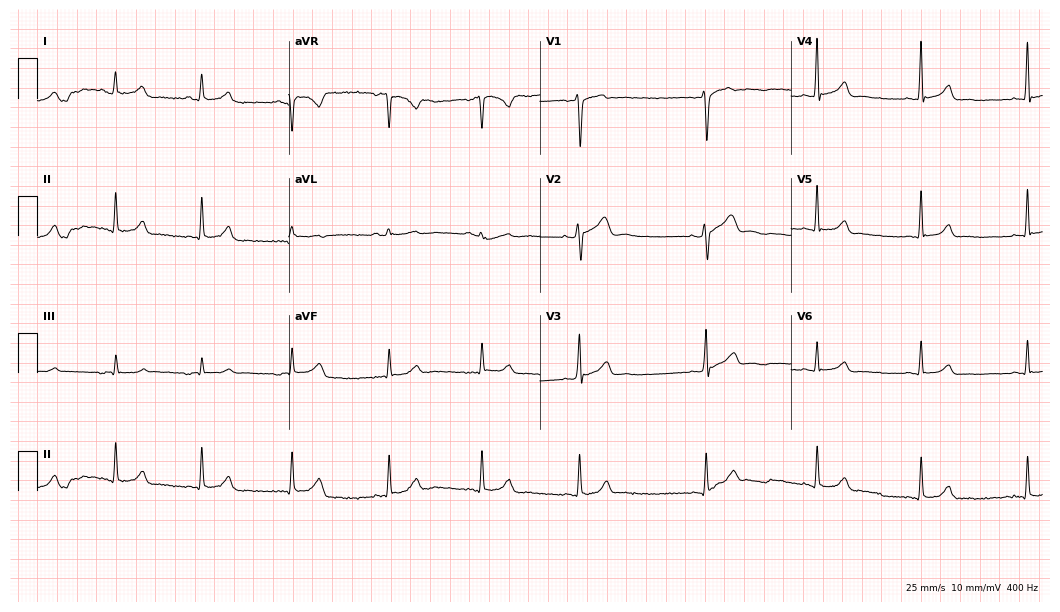
Standard 12-lead ECG recorded from a 31-year-old female. Read as a normal ECG.